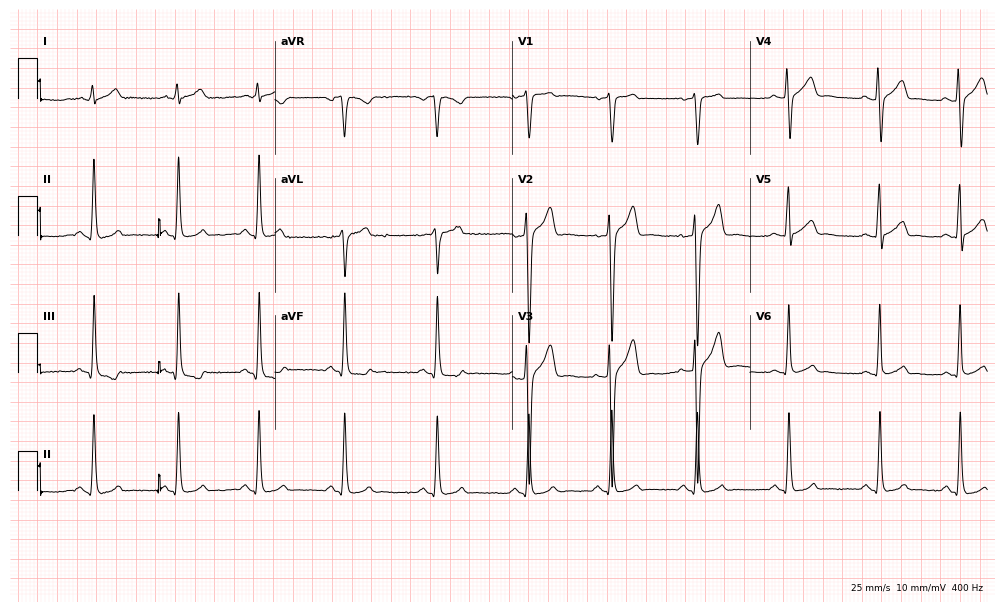
12-lead ECG (9.7-second recording at 400 Hz) from a man, 30 years old. Labelled as a normal ECG.